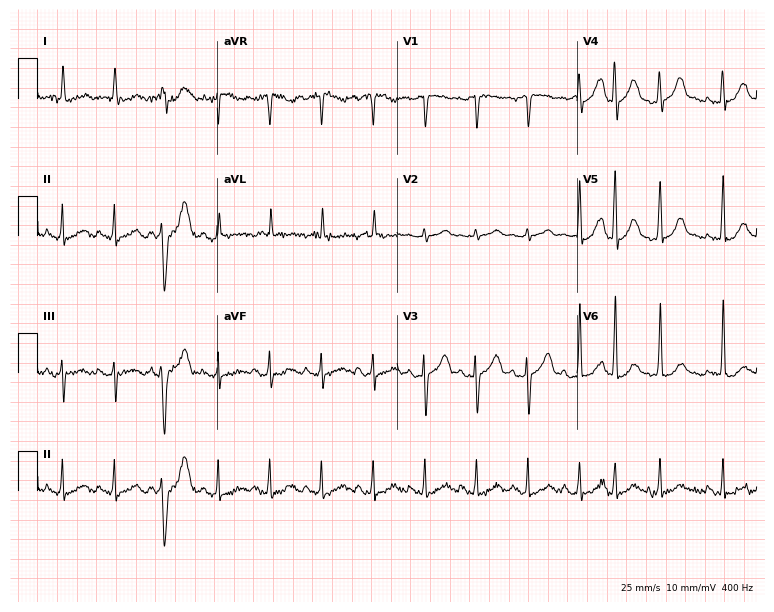
Standard 12-lead ECG recorded from a female patient, 83 years old. The tracing shows sinus tachycardia (a sinus rate of 100 beats per minute or more).